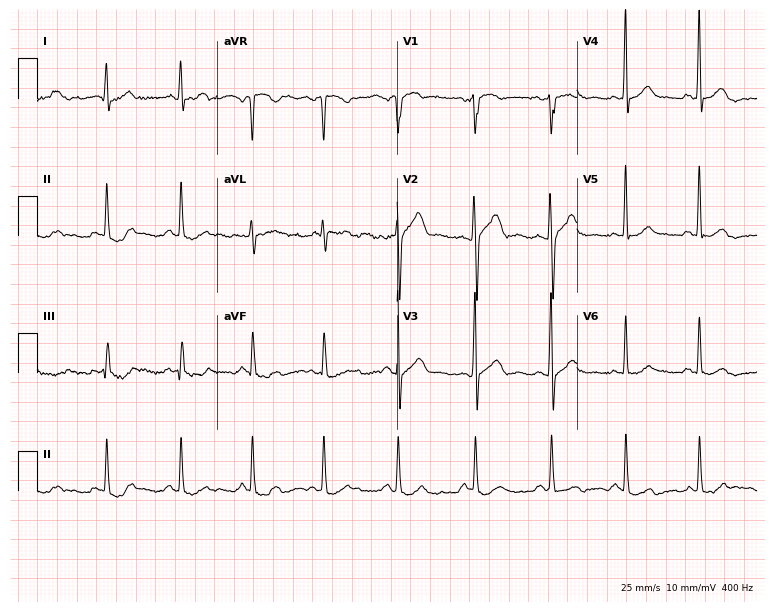
Electrocardiogram (7.3-second recording at 400 Hz), a 57-year-old man. Of the six screened findings (first-degree AV block, right bundle branch block, left bundle branch block, sinus bradycardia, atrial fibrillation, sinus tachycardia), none is recorded. Other findings, if any, are not listed.